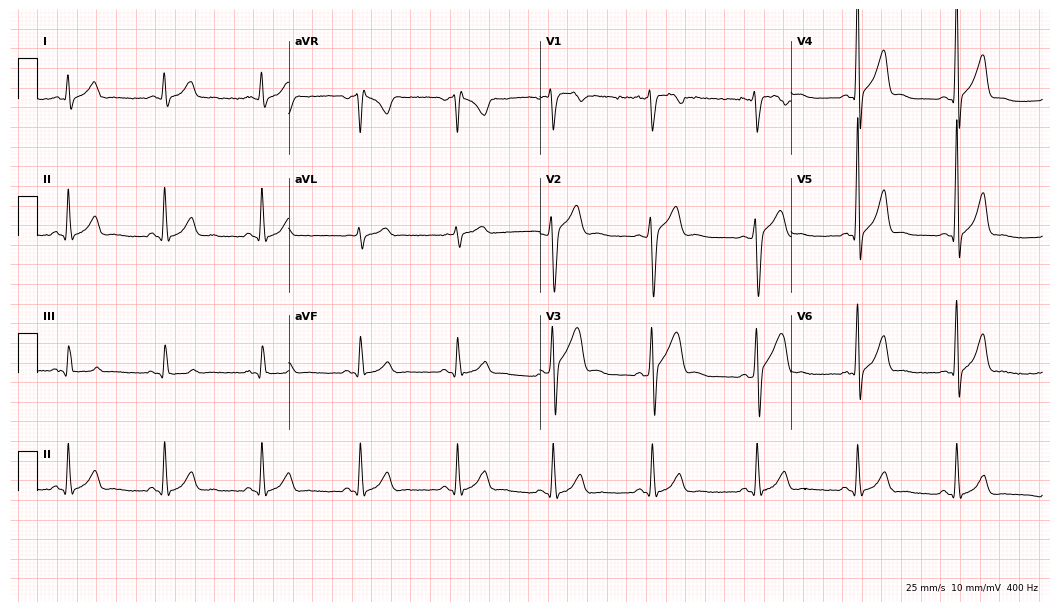
Standard 12-lead ECG recorded from a 31-year-old male (10.2-second recording at 400 Hz). None of these six findings is recorded: first-degree AV block, right bundle branch block, left bundle branch block, sinus bradycardia, atrial fibrillation, sinus tachycardia.